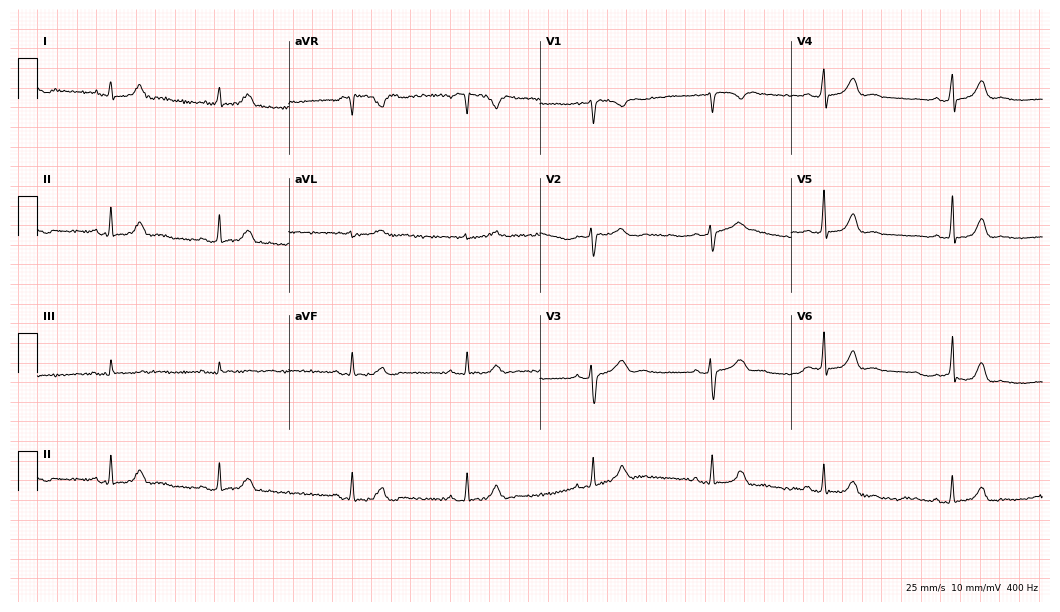
Electrocardiogram (10.2-second recording at 400 Hz), a female patient, 34 years old. Overall reading on record: normal ECG.